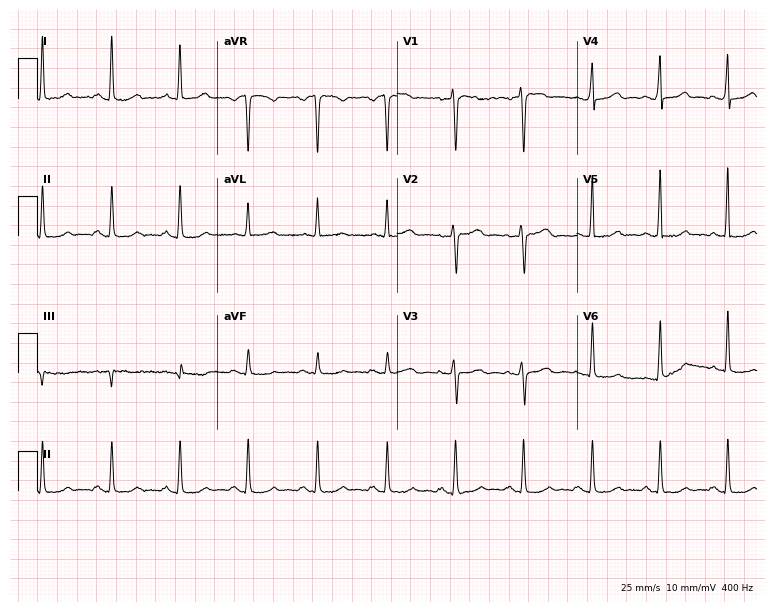
Resting 12-lead electrocardiogram (7.3-second recording at 400 Hz). Patient: a 41-year-old female. Read as a normal ECG.